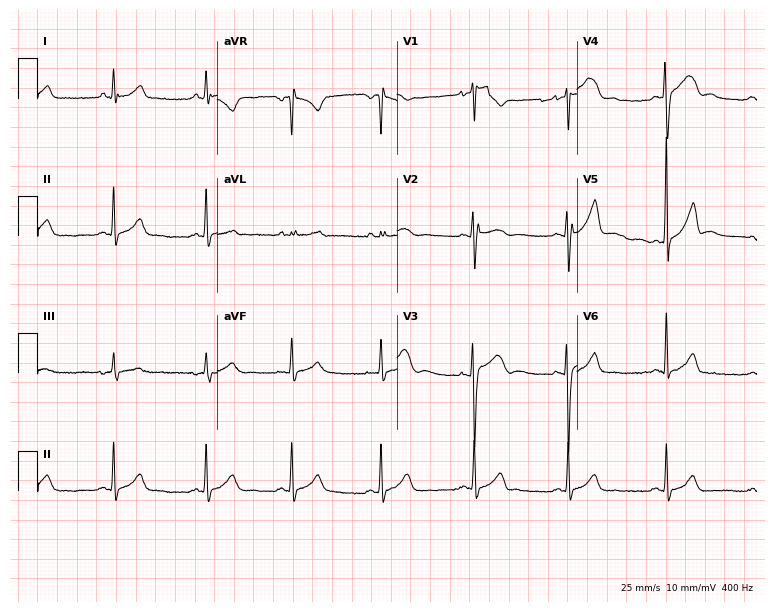
Standard 12-lead ECG recorded from a male patient, 17 years old (7.3-second recording at 400 Hz). Read as a normal ECG.